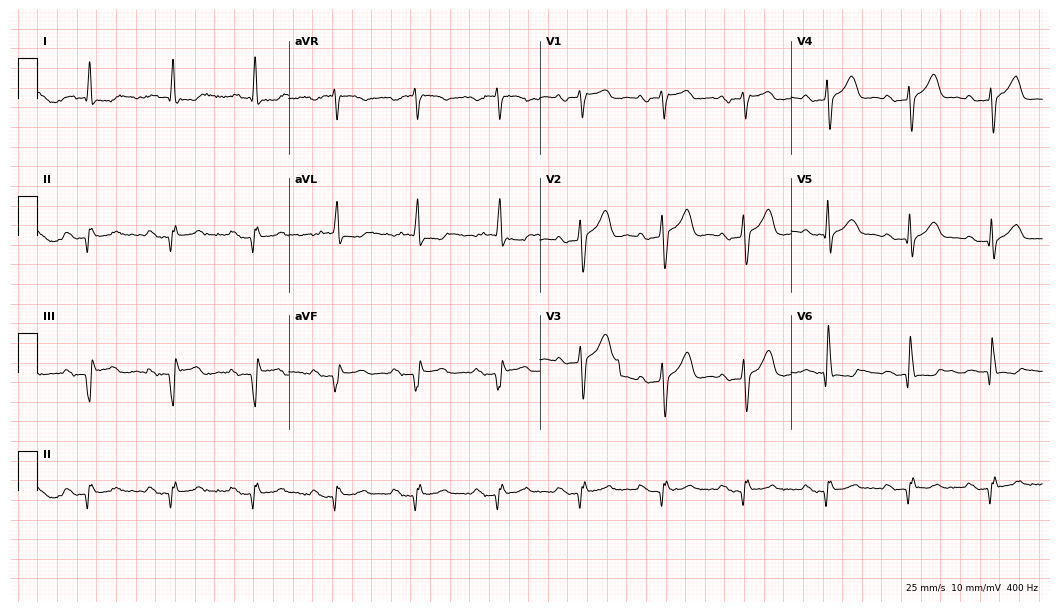
Electrocardiogram, a 76-year-old male. Interpretation includes first-degree AV block.